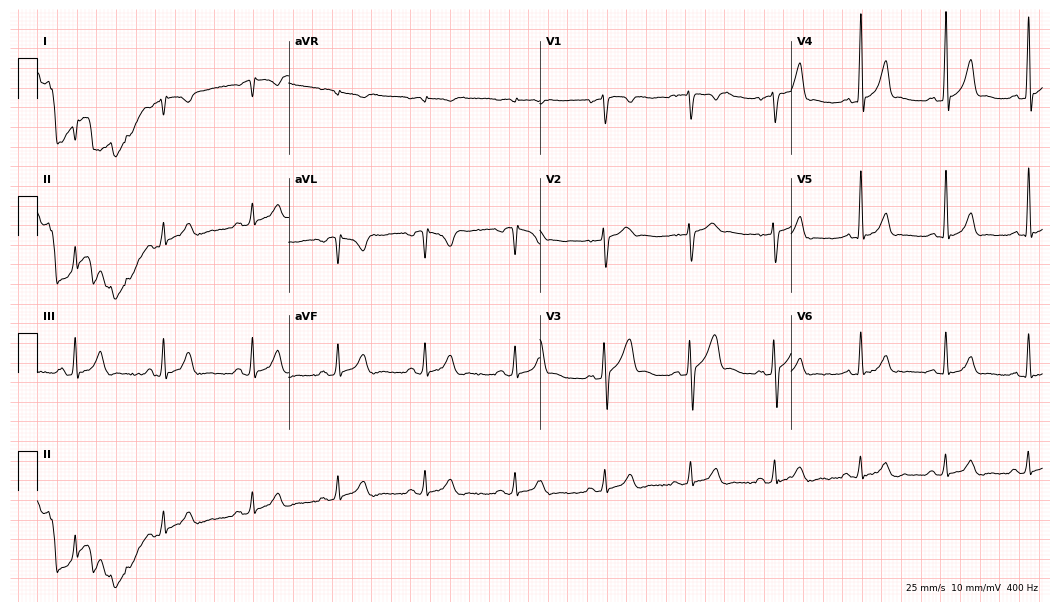
12-lead ECG (10.2-second recording at 400 Hz) from a man, 52 years old. Labelled as a normal ECG.